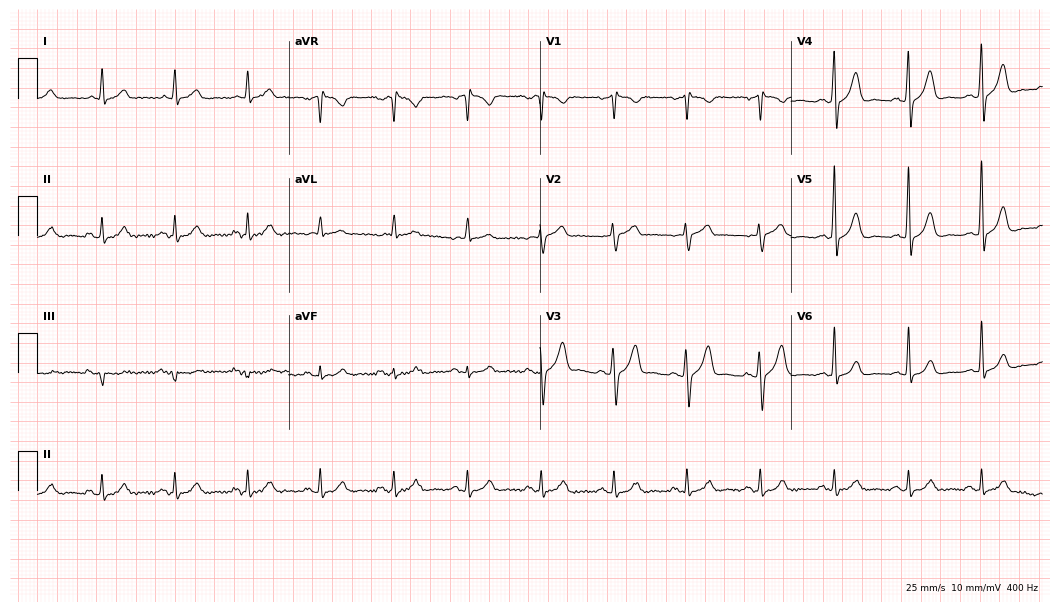
Resting 12-lead electrocardiogram. Patient: an 83-year-old man. Read as a normal ECG.